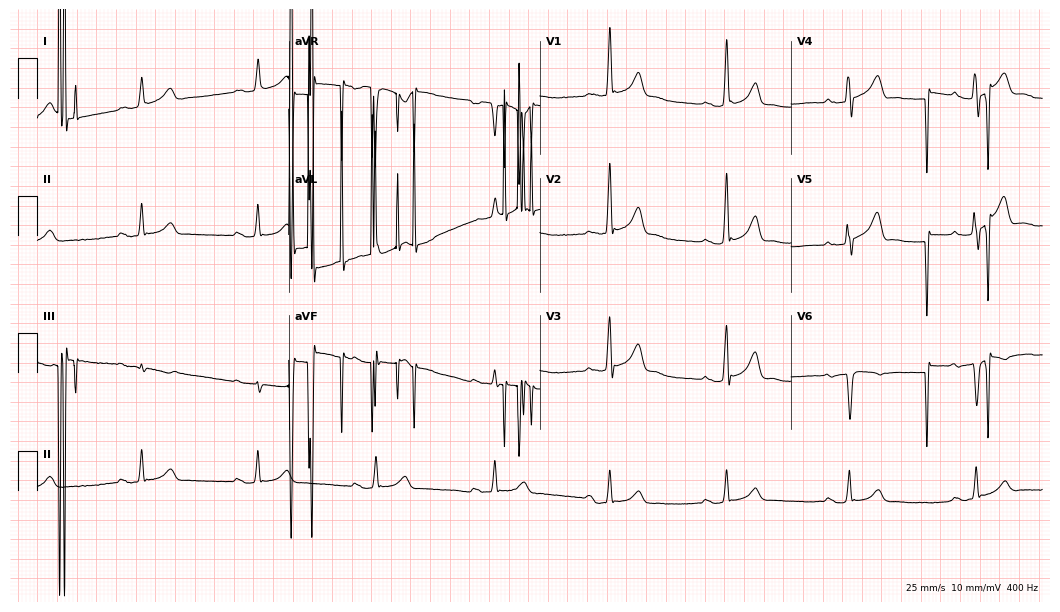
Standard 12-lead ECG recorded from a 54-year-old male. None of these six findings is recorded: first-degree AV block, right bundle branch block (RBBB), left bundle branch block (LBBB), sinus bradycardia, atrial fibrillation (AF), sinus tachycardia. Findings outside these six are not listed.